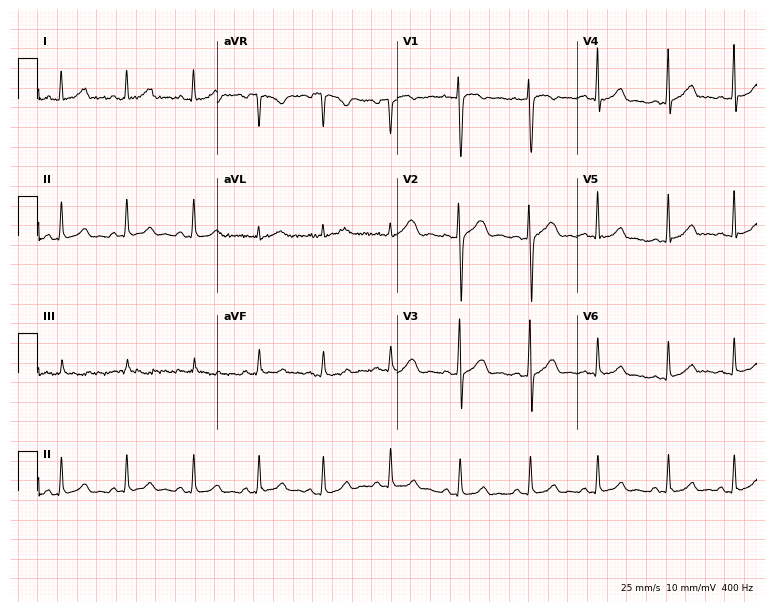
Resting 12-lead electrocardiogram (7.3-second recording at 400 Hz). Patient: a 21-year-old woman. Read as a normal ECG.